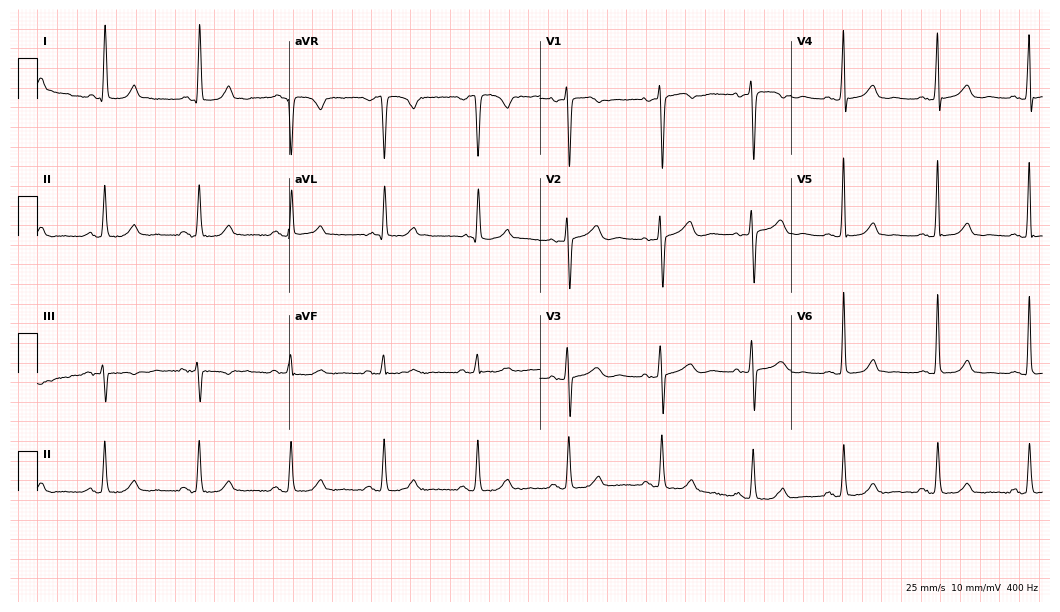
Electrocardiogram (10.2-second recording at 400 Hz), a female patient, 74 years old. Overall reading on record: normal ECG.